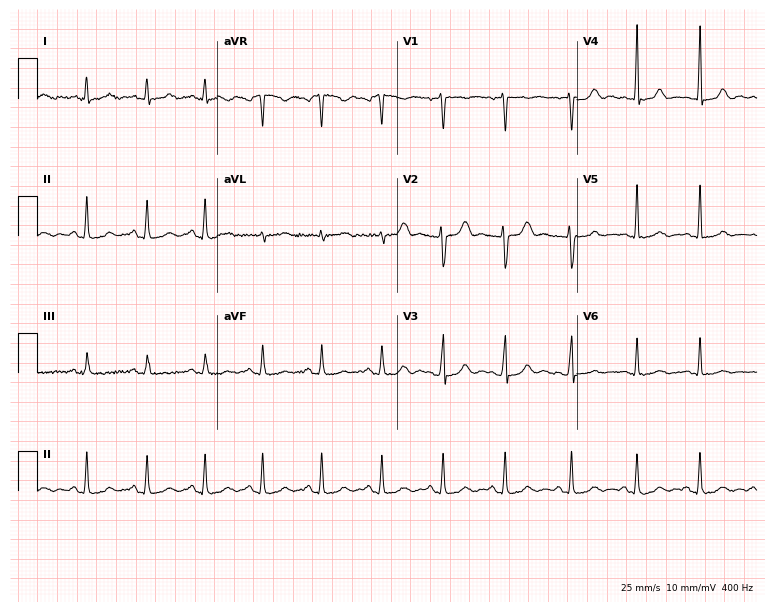
Standard 12-lead ECG recorded from a female, 26 years old. None of these six findings is recorded: first-degree AV block, right bundle branch block, left bundle branch block, sinus bradycardia, atrial fibrillation, sinus tachycardia. Findings outside these six are not listed.